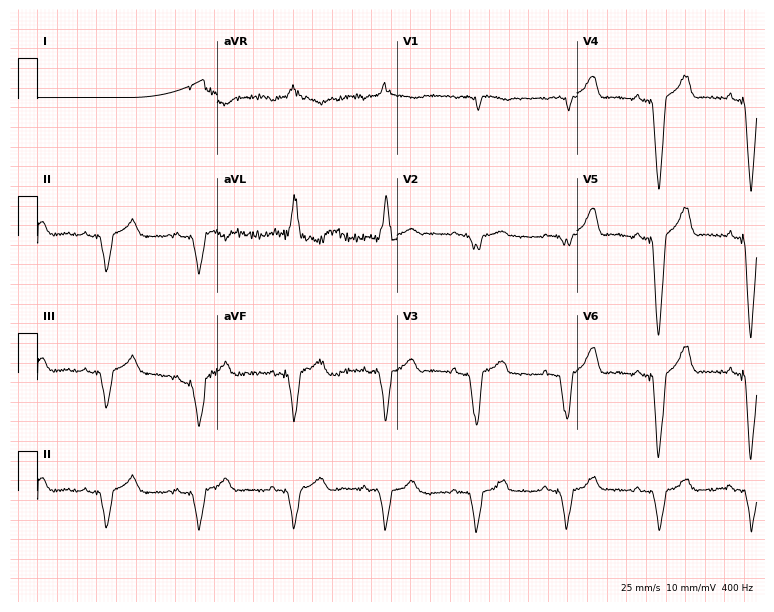
12-lead ECG from a male, 76 years old (7.3-second recording at 400 Hz). No first-degree AV block, right bundle branch block (RBBB), left bundle branch block (LBBB), sinus bradycardia, atrial fibrillation (AF) or sinus tachycardia recorded for this tracing.